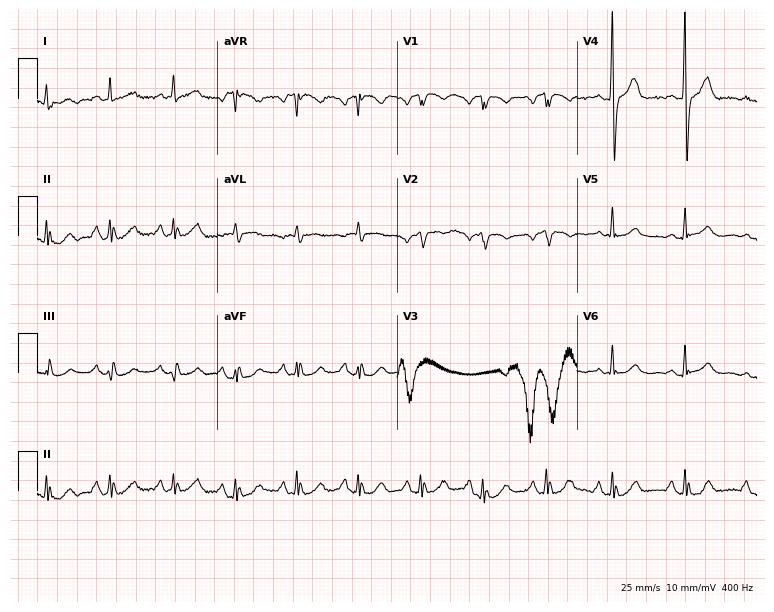
Standard 12-lead ECG recorded from a man, 52 years old. None of these six findings is recorded: first-degree AV block, right bundle branch block, left bundle branch block, sinus bradycardia, atrial fibrillation, sinus tachycardia. Only these six findings were labelled.